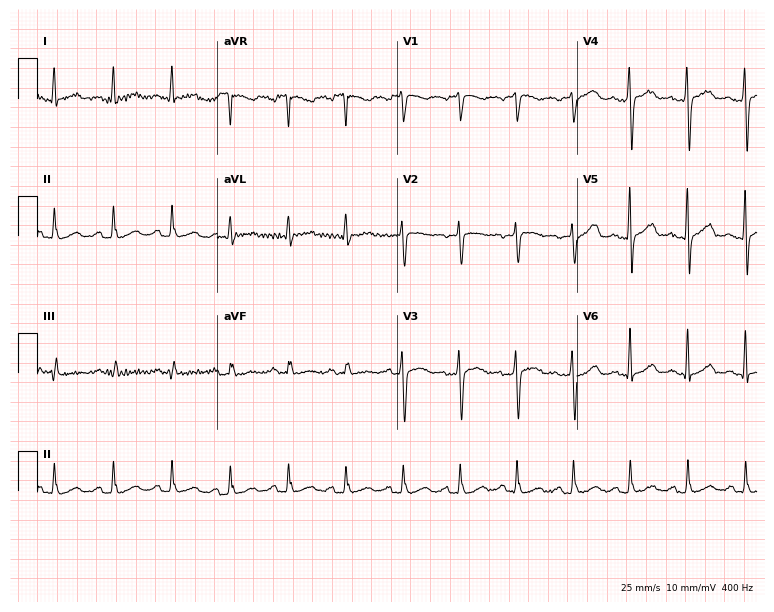
Standard 12-lead ECG recorded from a 40-year-old woman. Read as a normal ECG.